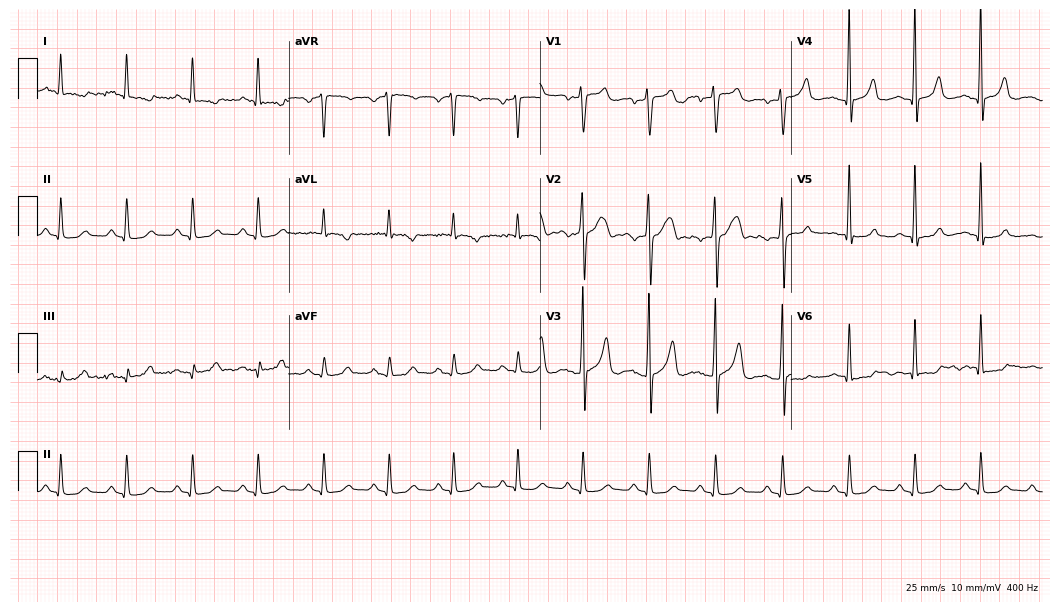
Resting 12-lead electrocardiogram. Patient: a 46-year-old male. None of these six findings is recorded: first-degree AV block, right bundle branch block, left bundle branch block, sinus bradycardia, atrial fibrillation, sinus tachycardia. Findings outside these six are not listed.